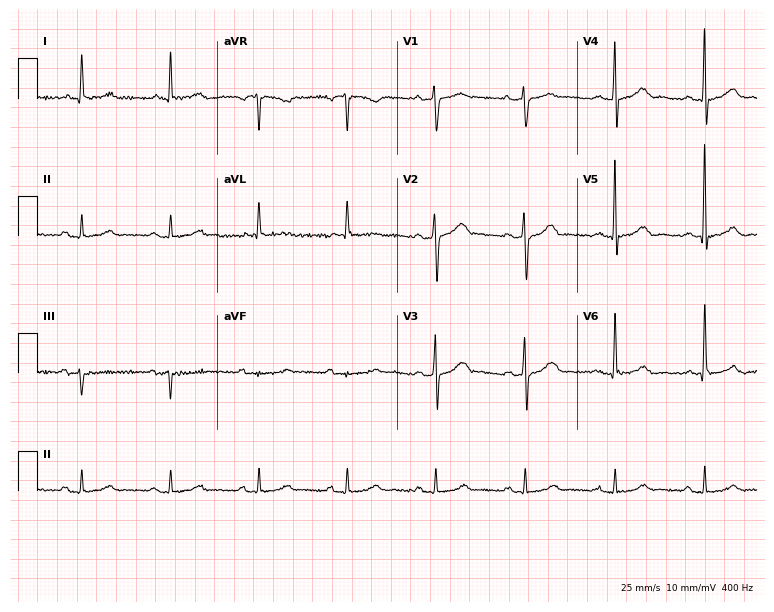
Standard 12-lead ECG recorded from a 75-year-old woman. None of these six findings is recorded: first-degree AV block, right bundle branch block, left bundle branch block, sinus bradycardia, atrial fibrillation, sinus tachycardia. Findings outside these six are not listed.